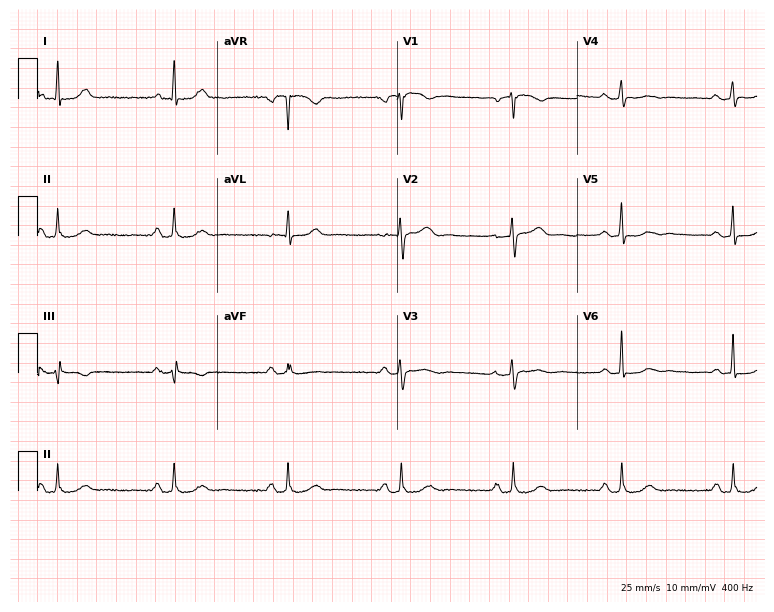
Standard 12-lead ECG recorded from a female, 54 years old (7.3-second recording at 400 Hz). Read as a normal ECG.